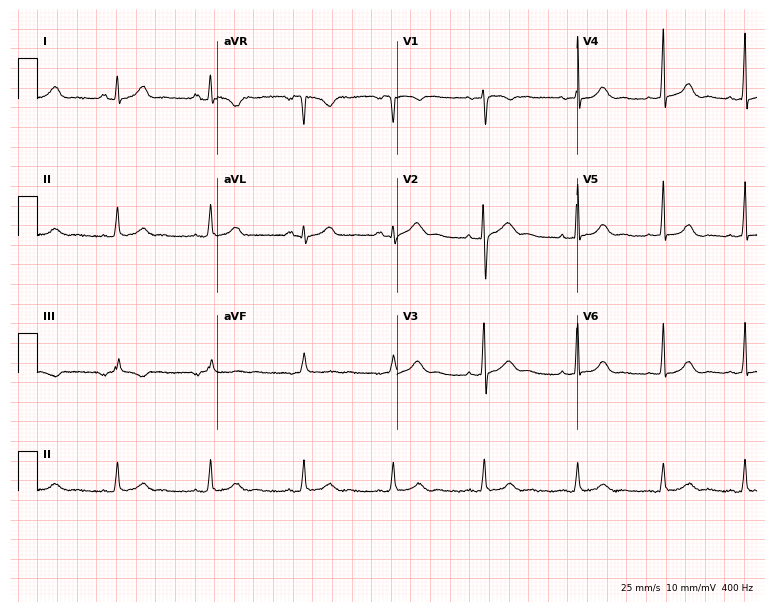
Standard 12-lead ECG recorded from a 26-year-old woman. Read as a normal ECG.